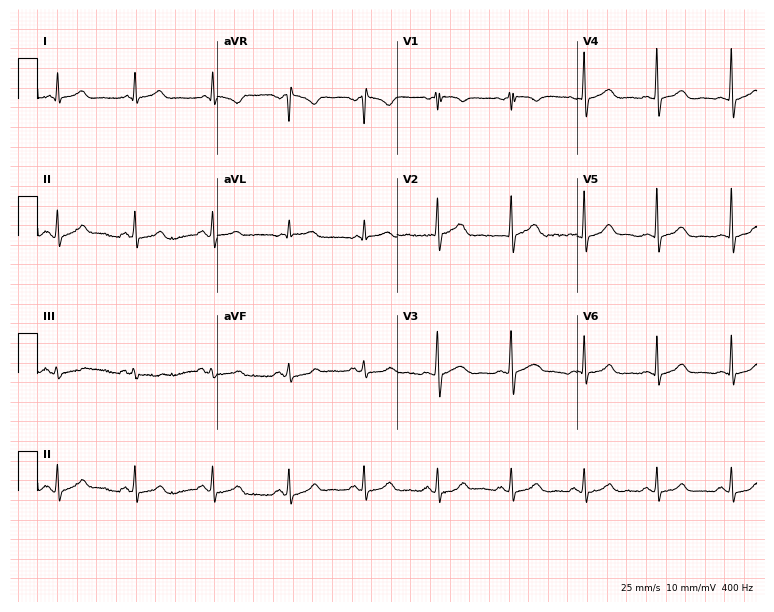
12-lead ECG from a female patient, 42 years old (7.3-second recording at 400 Hz). Recorded interpretation: within normal limits.